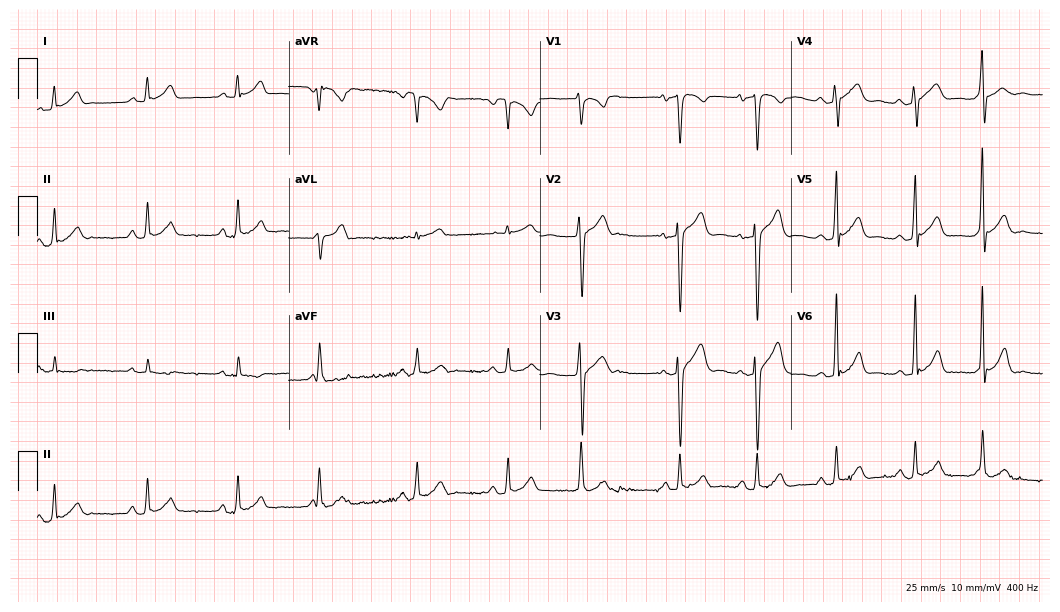
Standard 12-lead ECG recorded from a 53-year-old male patient. None of these six findings is recorded: first-degree AV block, right bundle branch block (RBBB), left bundle branch block (LBBB), sinus bradycardia, atrial fibrillation (AF), sinus tachycardia.